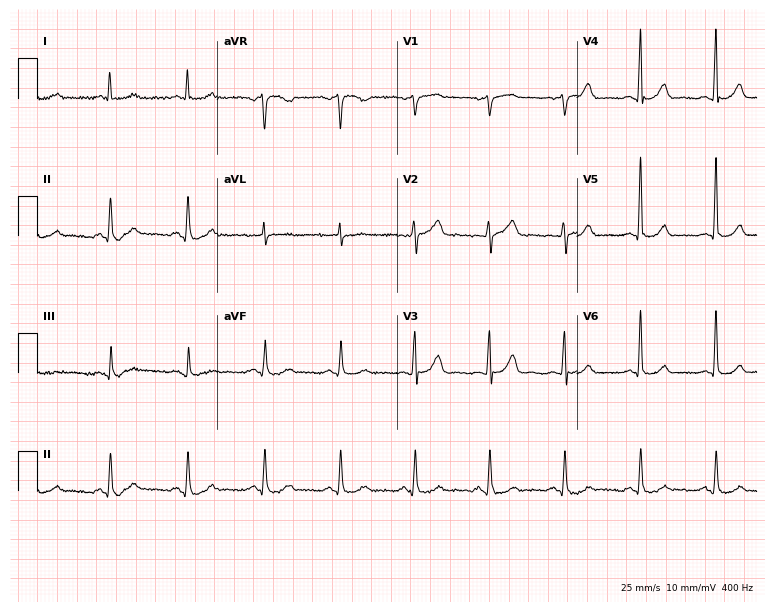
12-lead ECG from a 66-year-old man (7.3-second recording at 400 Hz). Recorded interpretation: within normal limits.